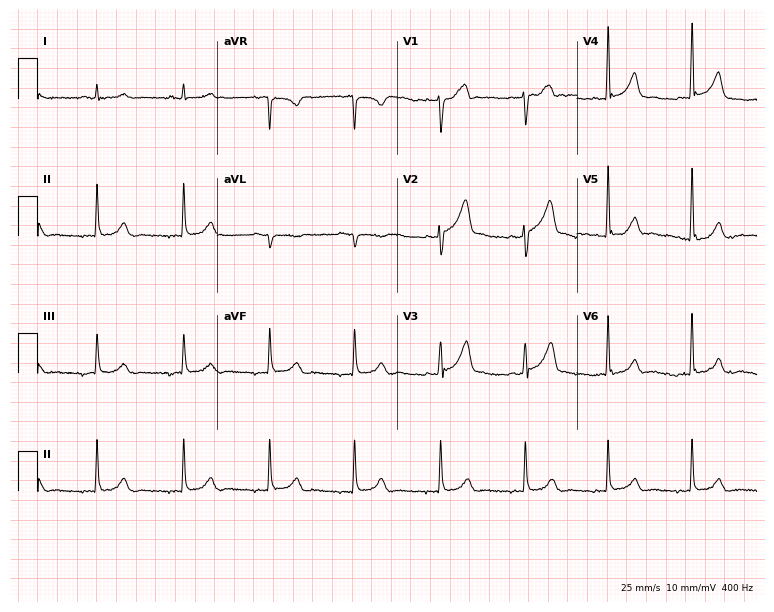
Resting 12-lead electrocardiogram (7.3-second recording at 400 Hz). Patient: a 48-year-old man. None of these six findings is recorded: first-degree AV block, right bundle branch block, left bundle branch block, sinus bradycardia, atrial fibrillation, sinus tachycardia. Findings outside these six are not listed.